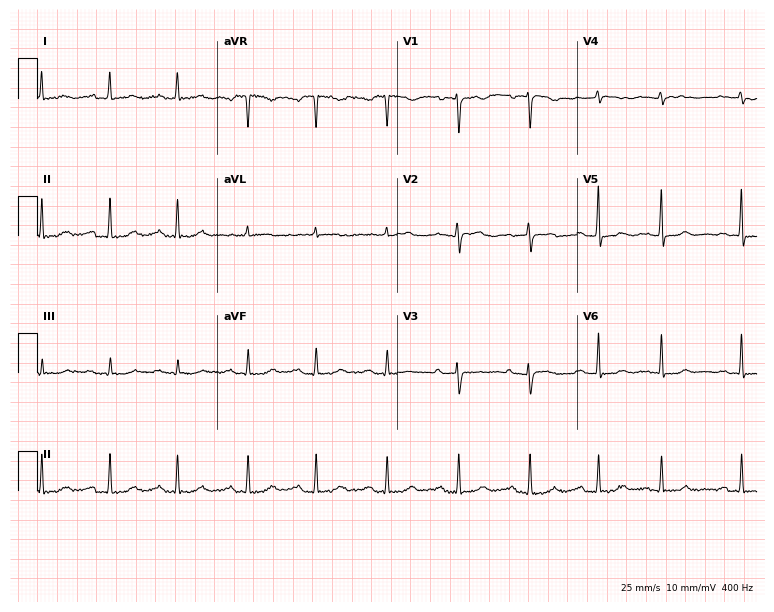
12-lead ECG from a 60-year-old woman (7.3-second recording at 400 Hz). No first-degree AV block, right bundle branch block (RBBB), left bundle branch block (LBBB), sinus bradycardia, atrial fibrillation (AF) or sinus tachycardia recorded for this tracing.